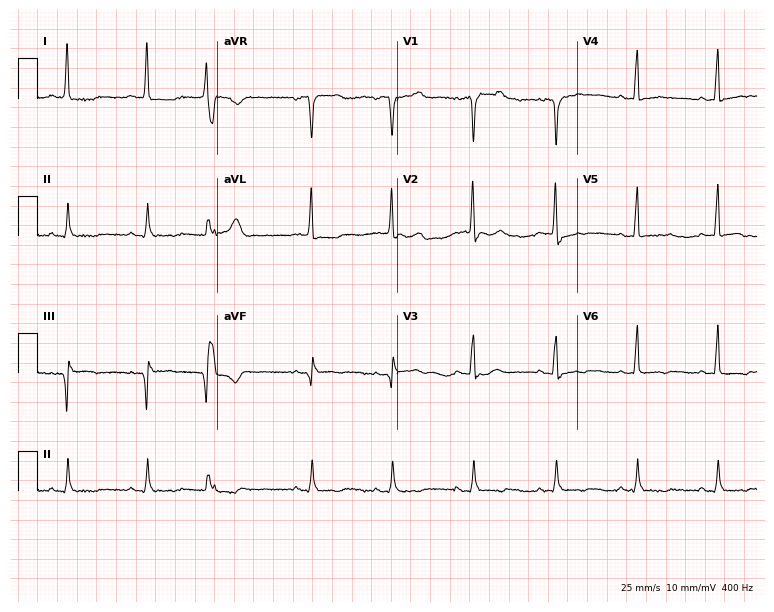
12-lead ECG from a woman, 64 years old. Screened for six findings — first-degree AV block, right bundle branch block, left bundle branch block, sinus bradycardia, atrial fibrillation, sinus tachycardia — none is recorded. Only these six findings were labelled.